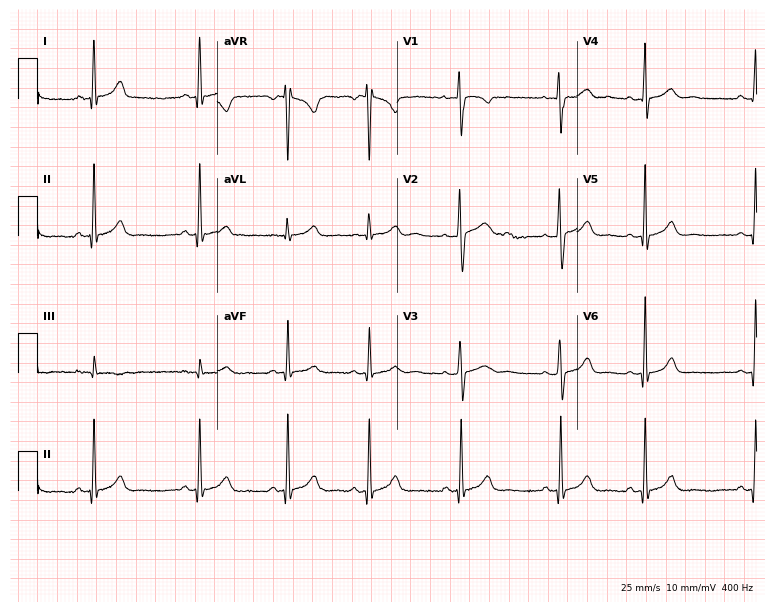
12-lead ECG from a female patient, 24 years old (7.3-second recording at 400 Hz). Recorded interpretation: within normal limits.